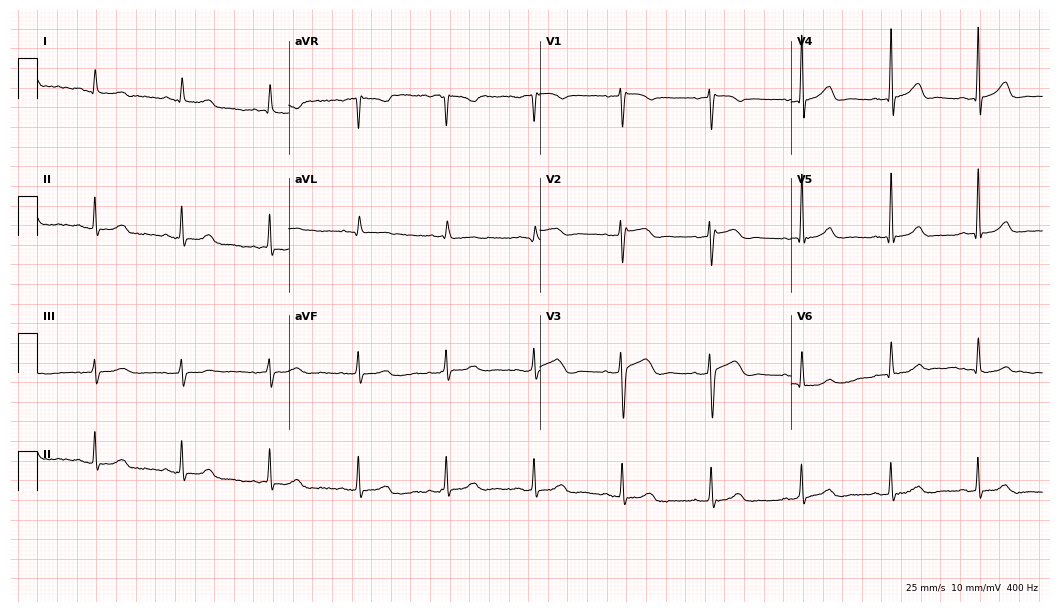
ECG — a female patient, 56 years old. Labelled as a normal ECG.